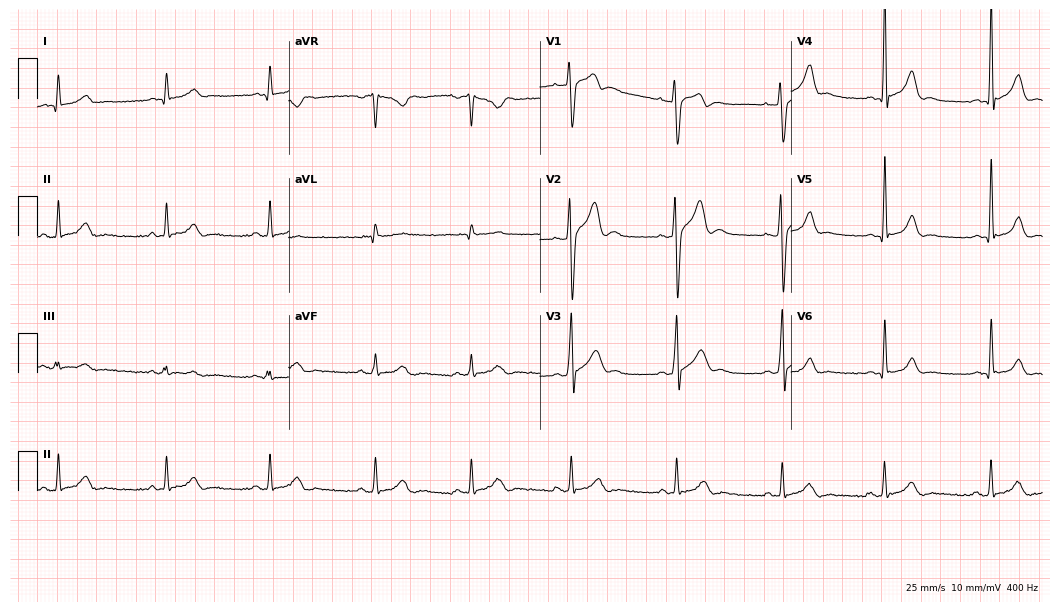
ECG (10.2-second recording at 400 Hz) — a 23-year-old male patient. Labelled as a normal ECG.